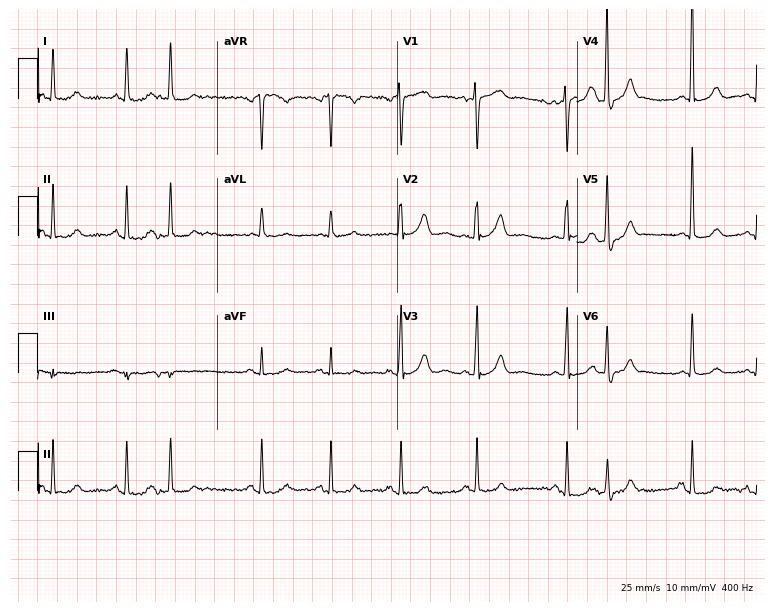
12-lead ECG from a 60-year-old female. No first-degree AV block, right bundle branch block (RBBB), left bundle branch block (LBBB), sinus bradycardia, atrial fibrillation (AF) or sinus tachycardia recorded for this tracing.